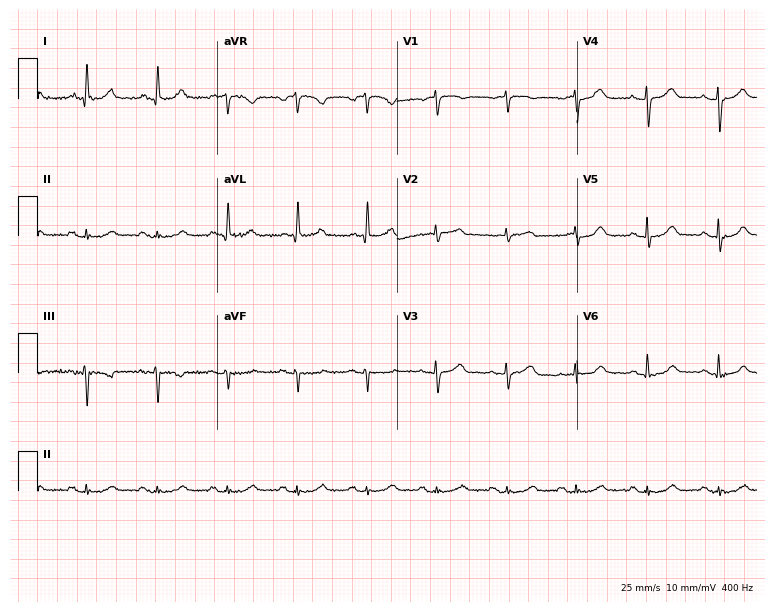
ECG (7.3-second recording at 400 Hz) — a female, 69 years old. Labelled as a normal ECG.